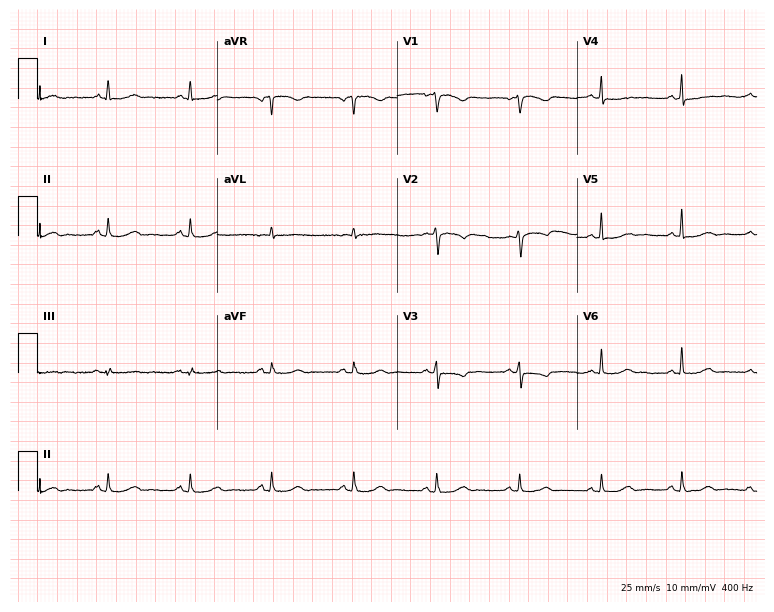
12-lead ECG (7.3-second recording at 400 Hz) from a woman, 56 years old. Screened for six findings — first-degree AV block, right bundle branch block, left bundle branch block, sinus bradycardia, atrial fibrillation, sinus tachycardia — none is recorded. Only these six findings were labelled.